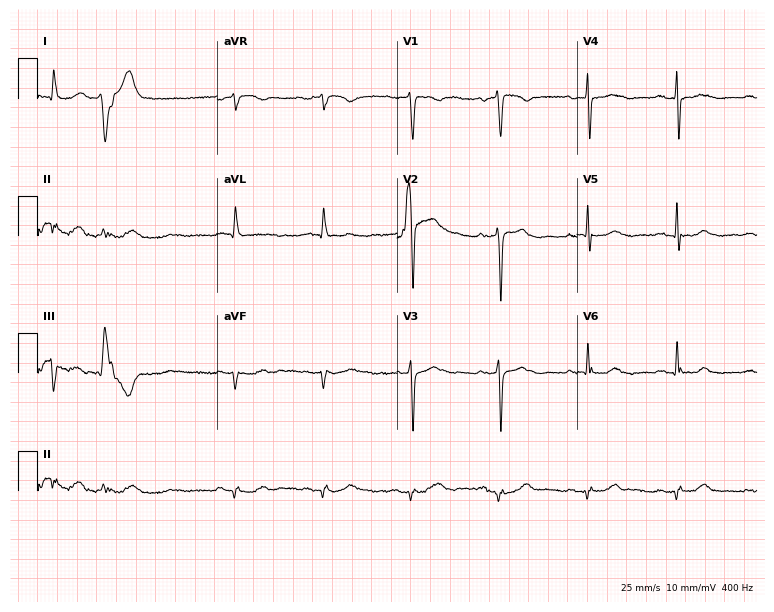
Electrocardiogram, a man, 74 years old. Of the six screened findings (first-degree AV block, right bundle branch block, left bundle branch block, sinus bradycardia, atrial fibrillation, sinus tachycardia), none is recorded.